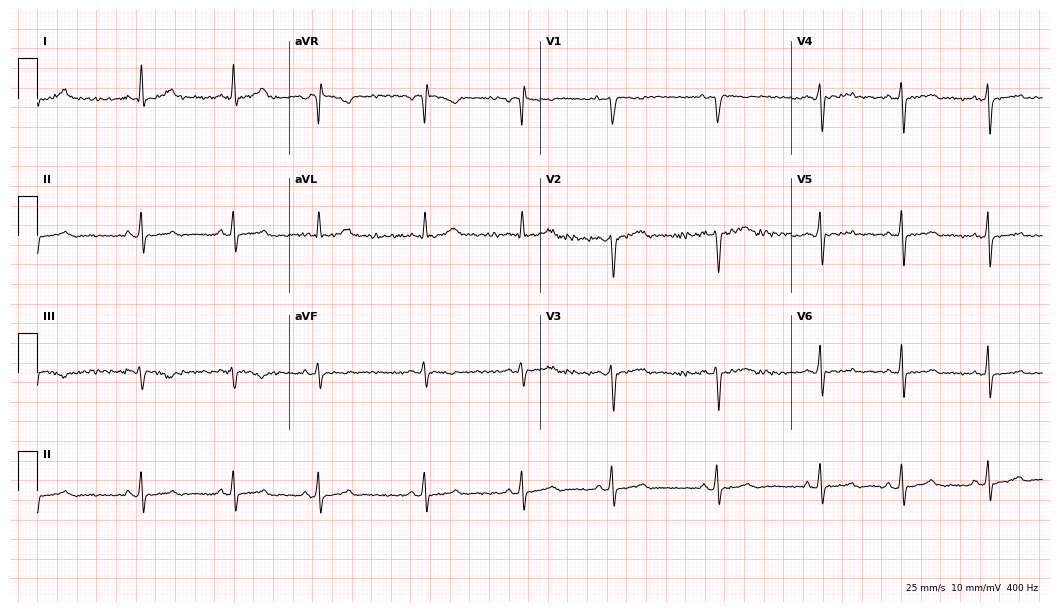
12-lead ECG (10.2-second recording at 400 Hz) from a female, 26 years old. Labelled as a normal ECG.